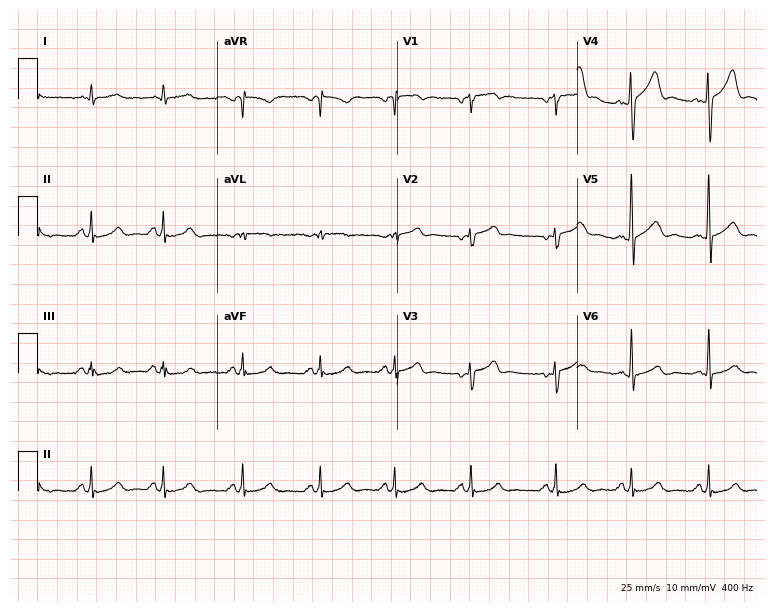
Resting 12-lead electrocardiogram. Patient: a 42-year-old male. None of these six findings is recorded: first-degree AV block, right bundle branch block, left bundle branch block, sinus bradycardia, atrial fibrillation, sinus tachycardia.